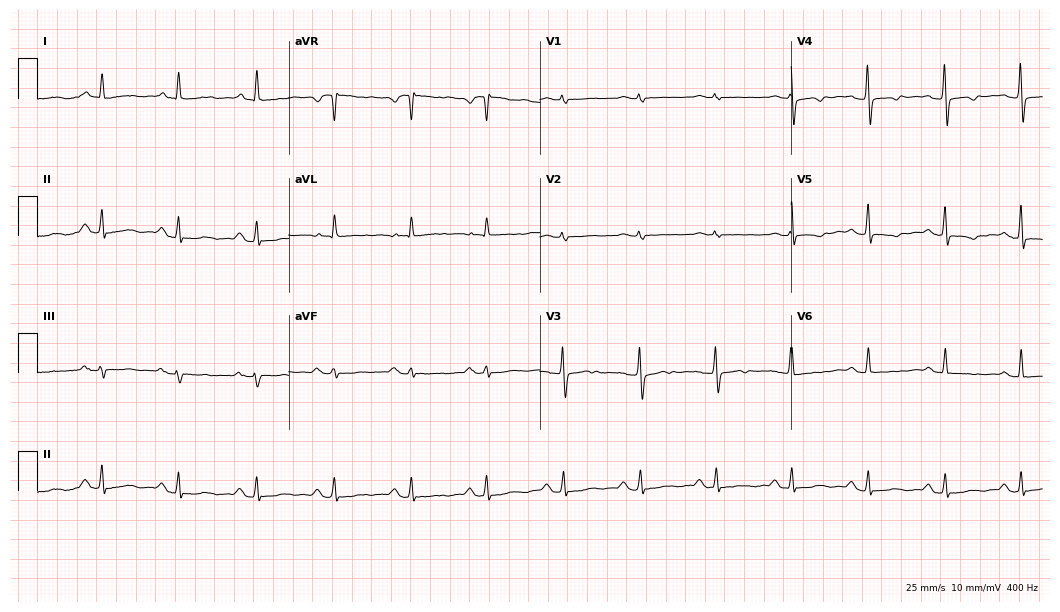
Electrocardiogram, a 64-year-old male patient. Of the six screened findings (first-degree AV block, right bundle branch block, left bundle branch block, sinus bradycardia, atrial fibrillation, sinus tachycardia), none is recorded. Other findings, if any, are not listed.